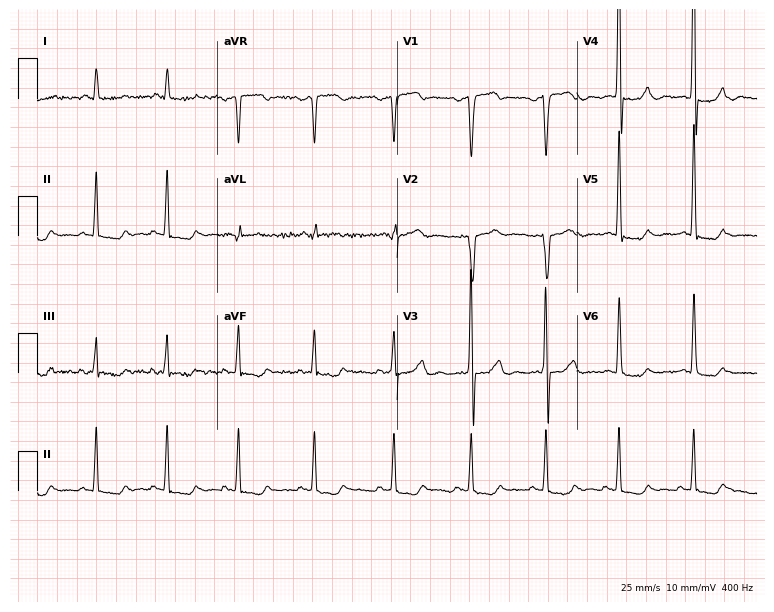
ECG (7.3-second recording at 400 Hz) — a male patient, 39 years old. Screened for six findings — first-degree AV block, right bundle branch block, left bundle branch block, sinus bradycardia, atrial fibrillation, sinus tachycardia — none is recorded. Only these six findings were labelled.